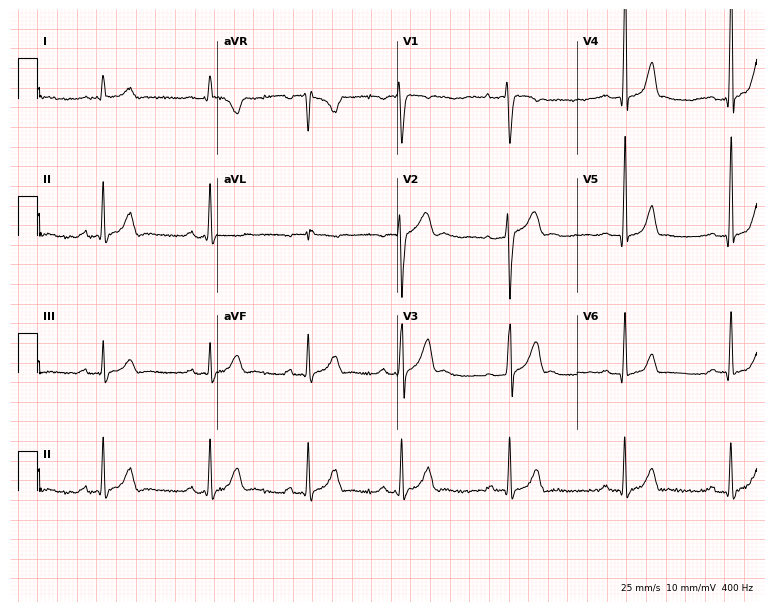
12-lead ECG from a 32-year-old male patient (7.3-second recording at 400 Hz). Recorded interpretation: within normal limits.